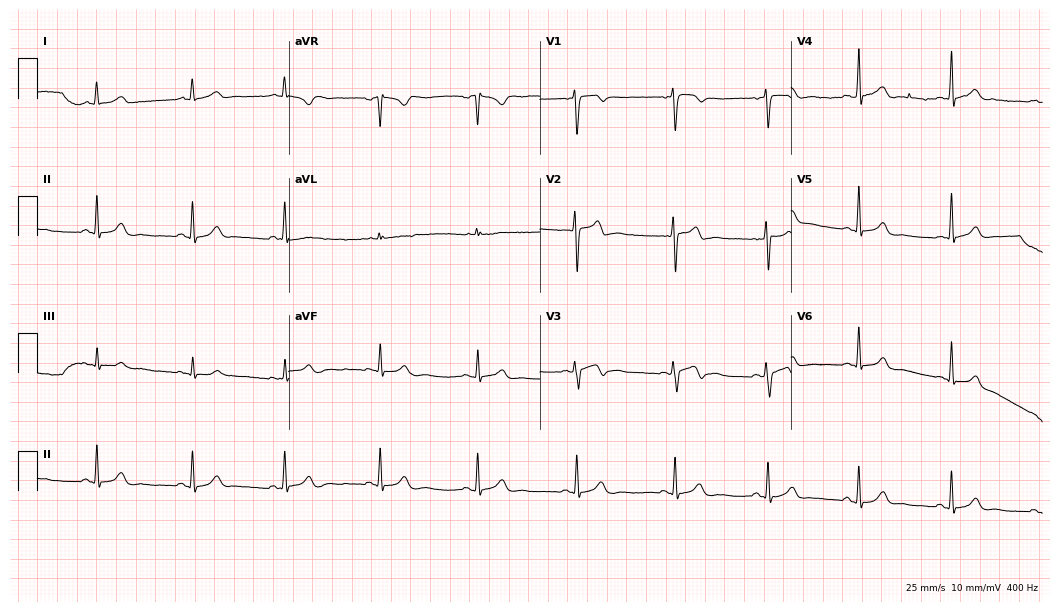
ECG (10.2-second recording at 400 Hz) — a man, 27 years old. Screened for six findings — first-degree AV block, right bundle branch block (RBBB), left bundle branch block (LBBB), sinus bradycardia, atrial fibrillation (AF), sinus tachycardia — none is recorded.